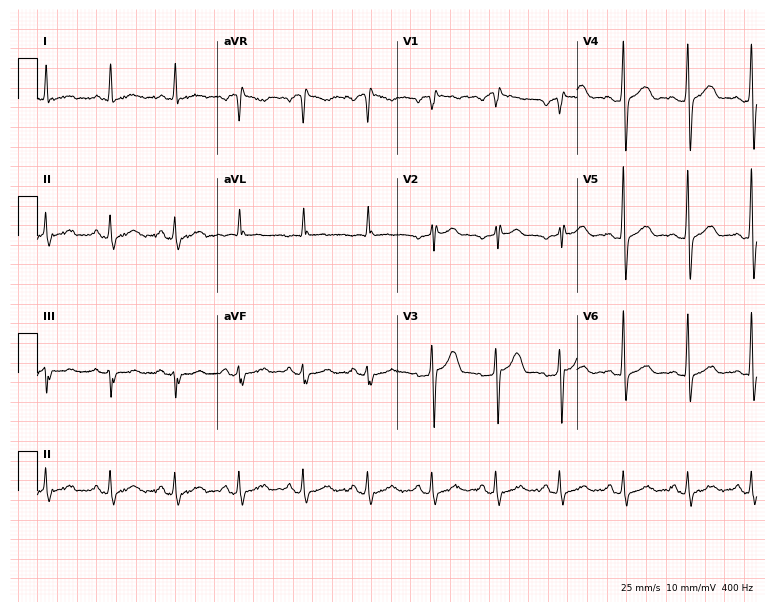
12-lead ECG from a male patient, 59 years old (7.3-second recording at 400 Hz). No first-degree AV block, right bundle branch block, left bundle branch block, sinus bradycardia, atrial fibrillation or sinus tachycardia recorded for this tracing. Only these six findings were labelled.